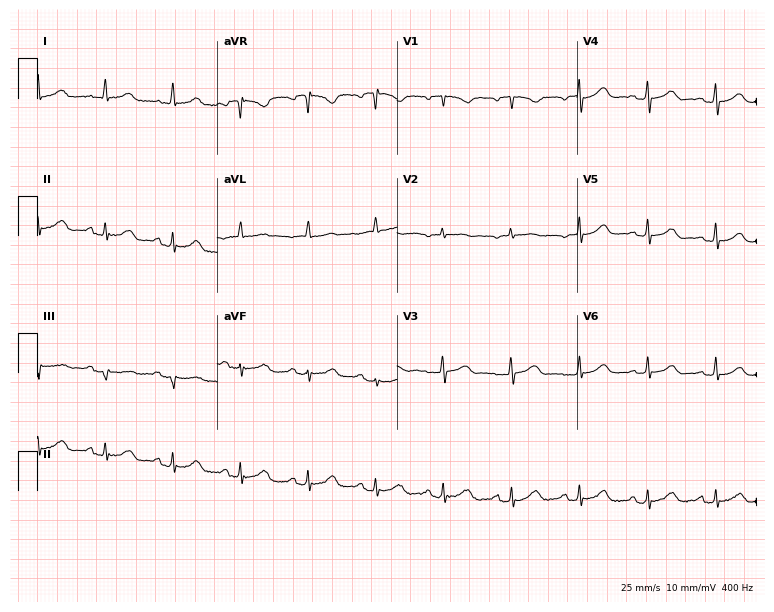
Standard 12-lead ECG recorded from a female, 71 years old (7.3-second recording at 400 Hz). None of these six findings is recorded: first-degree AV block, right bundle branch block (RBBB), left bundle branch block (LBBB), sinus bradycardia, atrial fibrillation (AF), sinus tachycardia. Findings outside these six are not listed.